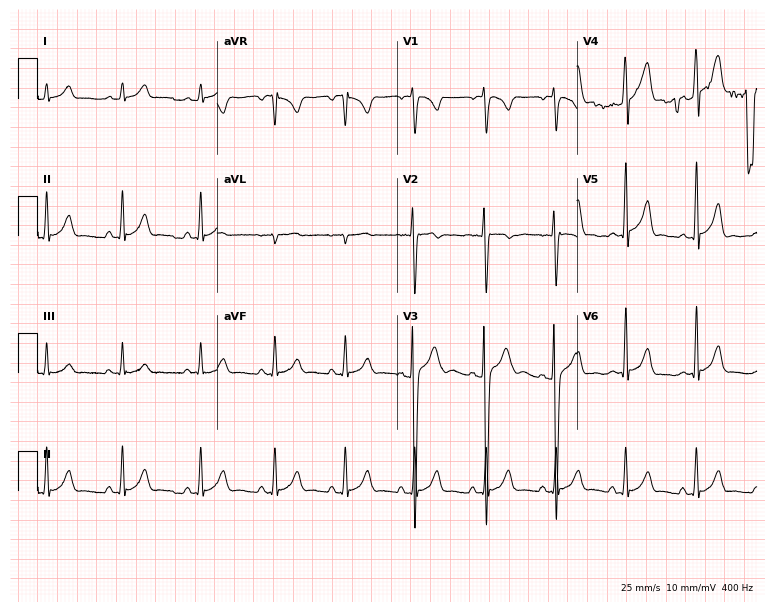
12-lead ECG from a male patient, 18 years old. Labelled as a normal ECG.